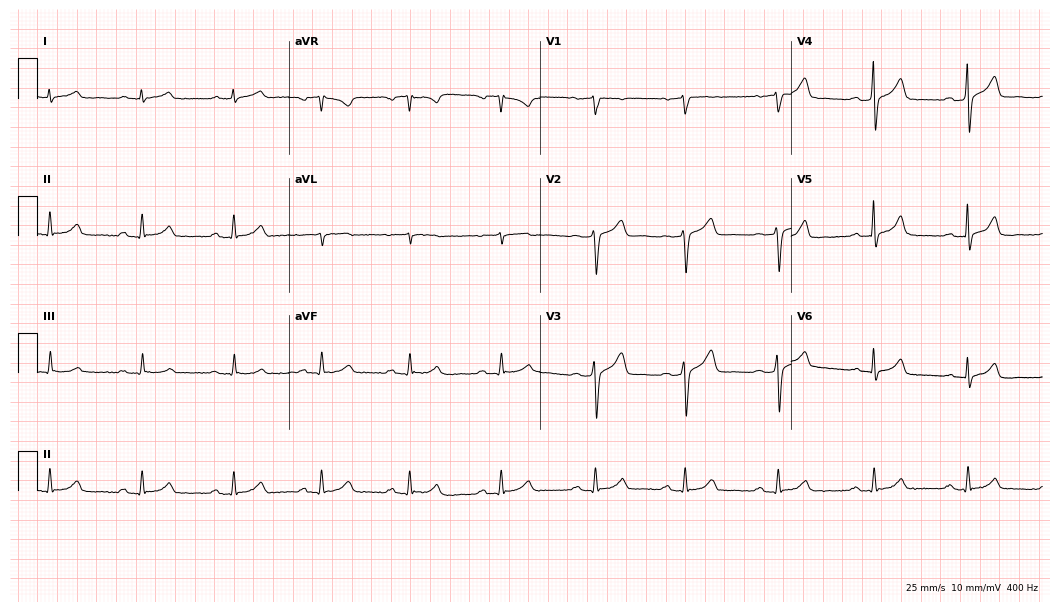
ECG — a man, 47 years old. Labelled as a normal ECG.